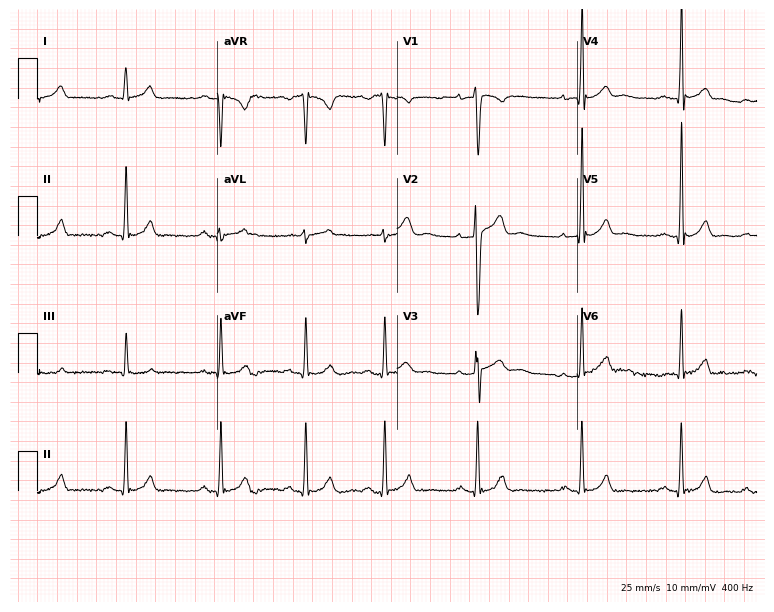
ECG — a male, 19 years old. Labelled as a normal ECG.